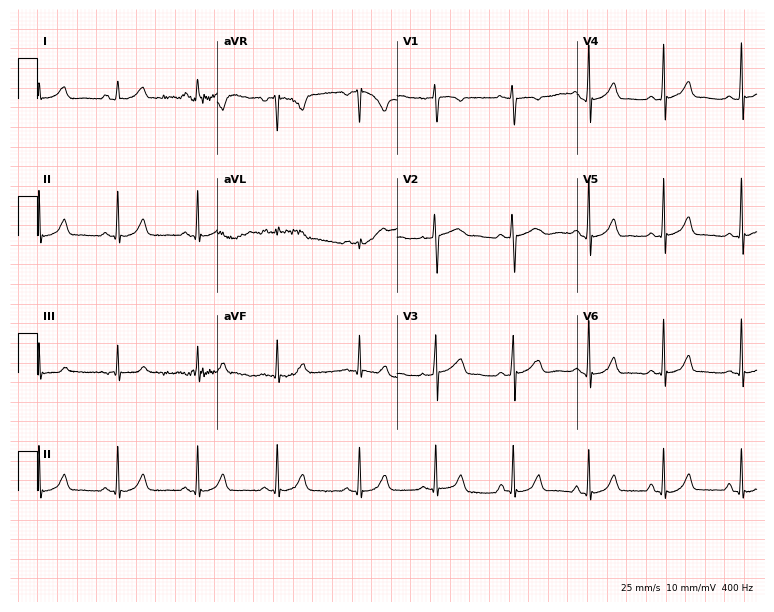
Standard 12-lead ECG recorded from an 18-year-old woman (7.3-second recording at 400 Hz). Read as a normal ECG.